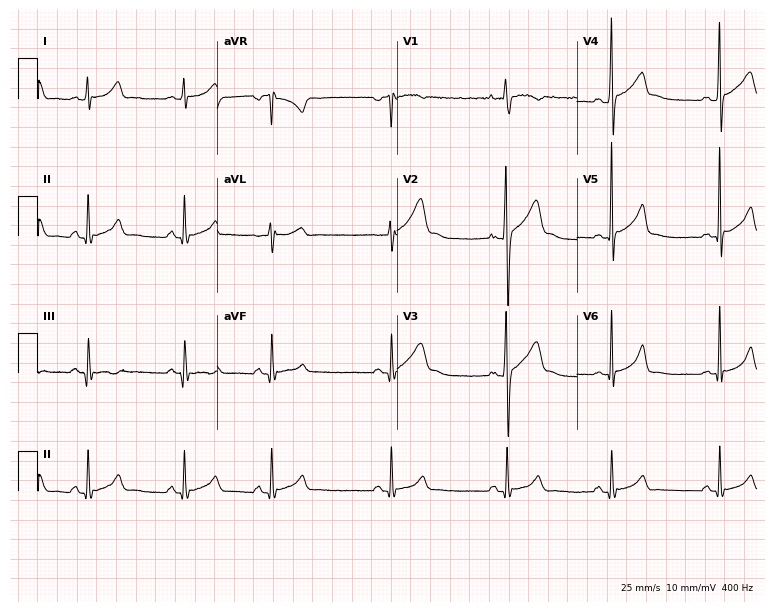
Resting 12-lead electrocardiogram. Patient: a 17-year-old male. Read as a normal ECG.